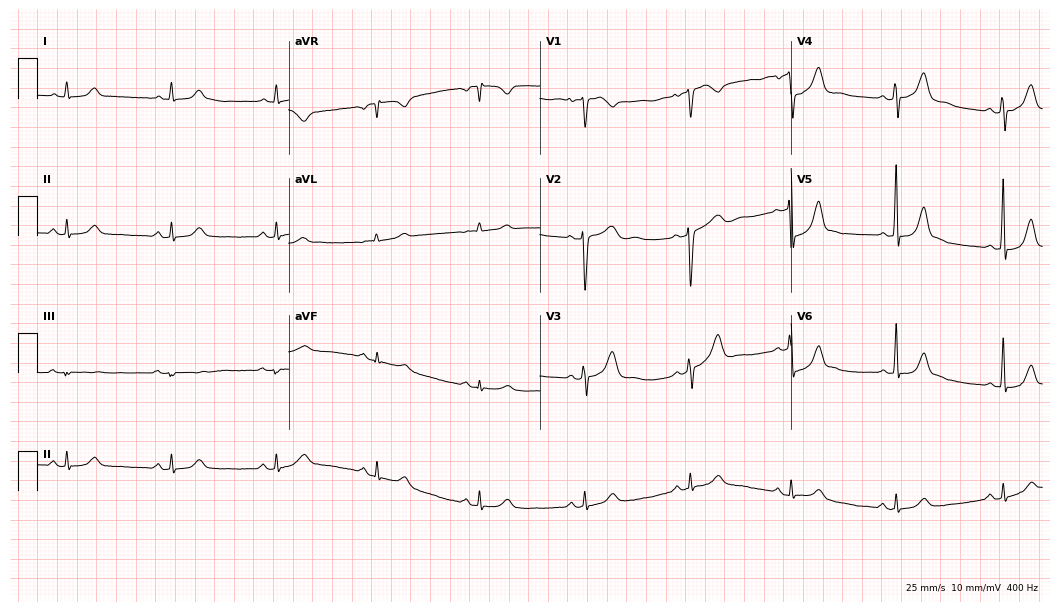
Resting 12-lead electrocardiogram. Patient: a man, 44 years old. Read as a normal ECG.